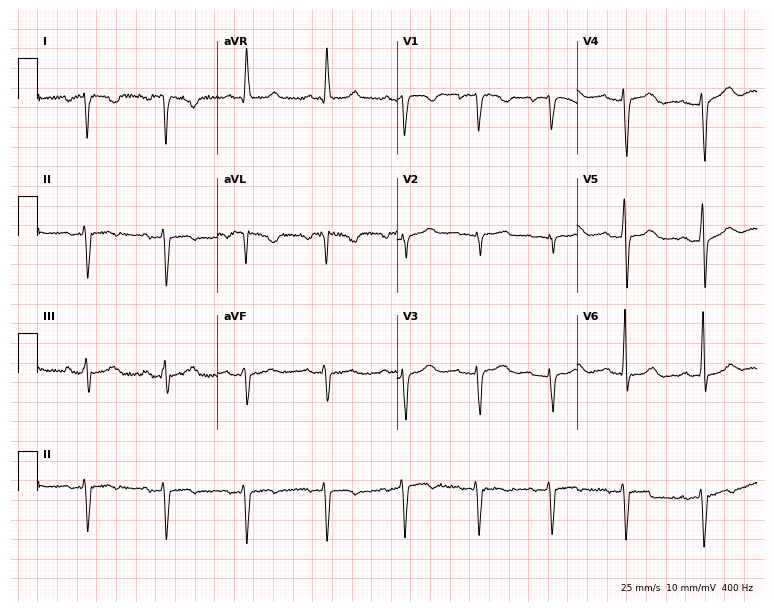
12-lead ECG from a 54-year-old woman. Labelled as a normal ECG.